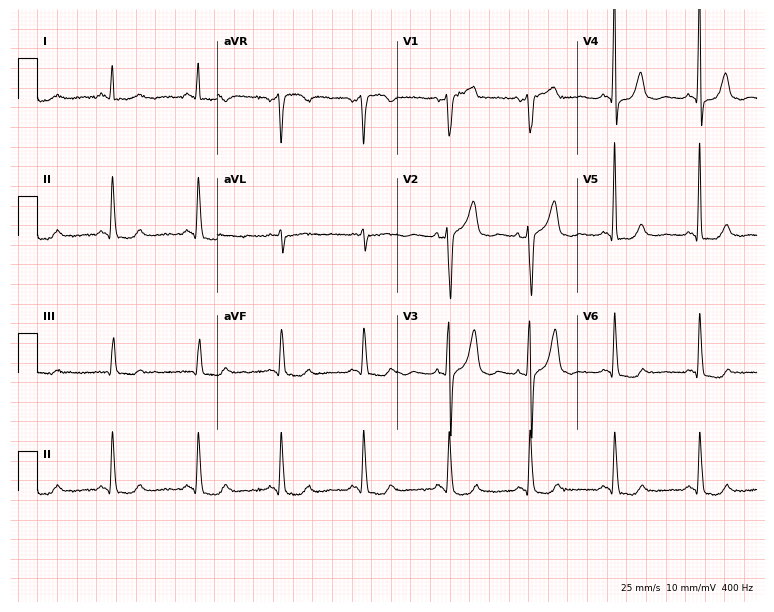
12-lead ECG from a 62-year-old female patient. No first-degree AV block, right bundle branch block, left bundle branch block, sinus bradycardia, atrial fibrillation or sinus tachycardia recorded for this tracing.